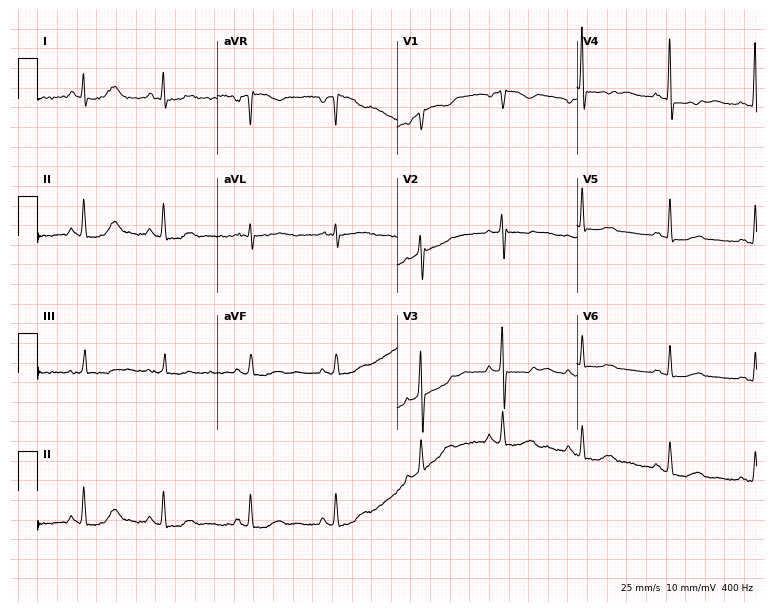
Electrocardiogram, a woman, 77 years old. Of the six screened findings (first-degree AV block, right bundle branch block, left bundle branch block, sinus bradycardia, atrial fibrillation, sinus tachycardia), none is recorded.